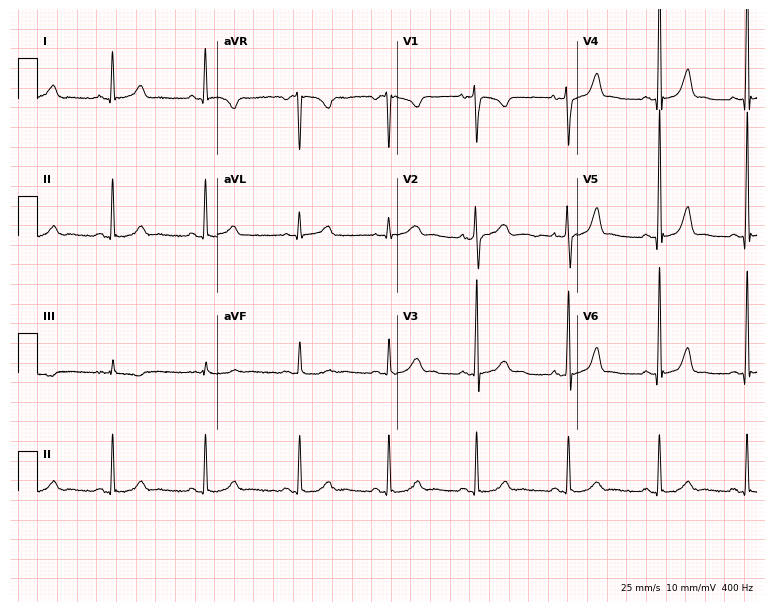
12-lead ECG (7.3-second recording at 400 Hz) from a female patient, 24 years old. Labelled as a normal ECG.